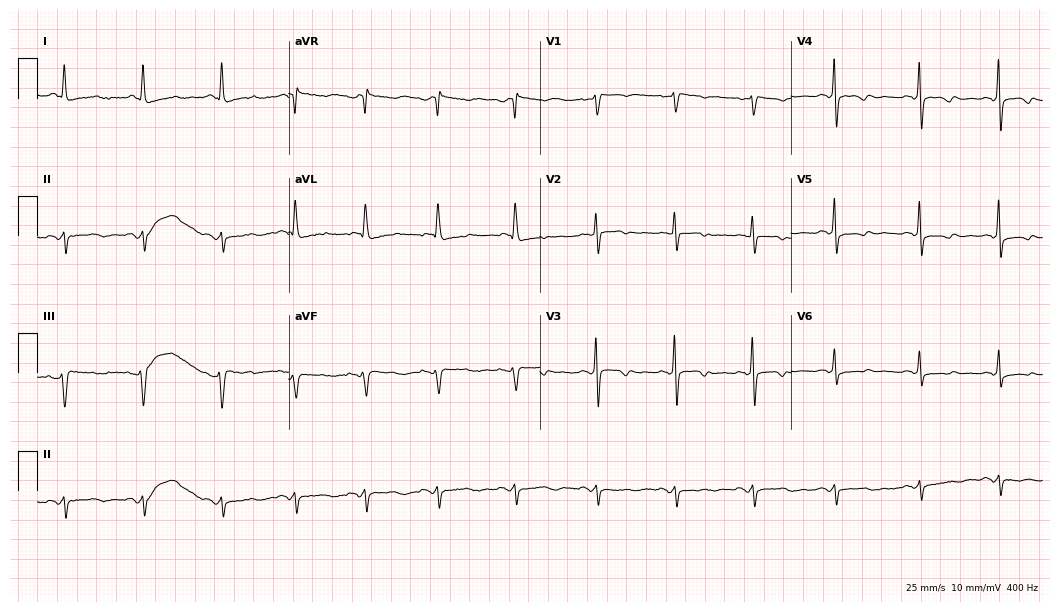
Standard 12-lead ECG recorded from a 70-year-old woman. None of these six findings is recorded: first-degree AV block, right bundle branch block, left bundle branch block, sinus bradycardia, atrial fibrillation, sinus tachycardia.